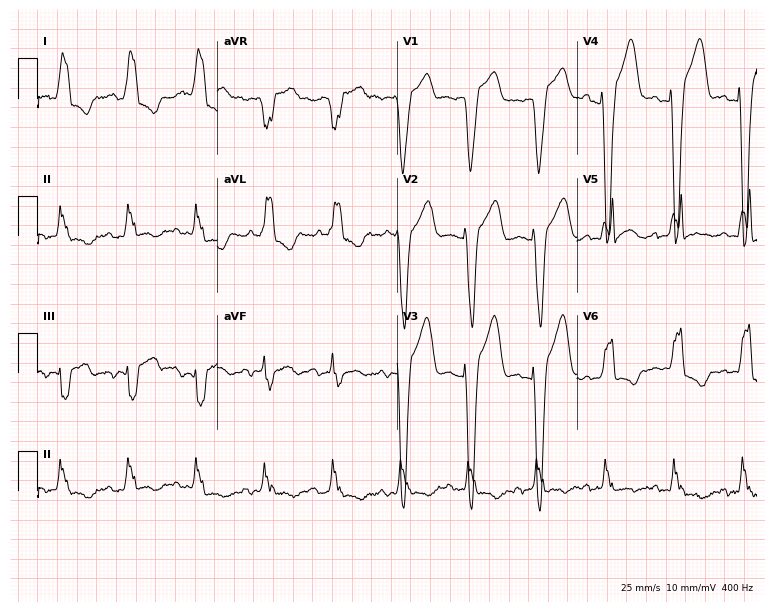
Standard 12-lead ECG recorded from an 81-year-old female (7.3-second recording at 400 Hz). The tracing shows left bundle branch block (LBBB).